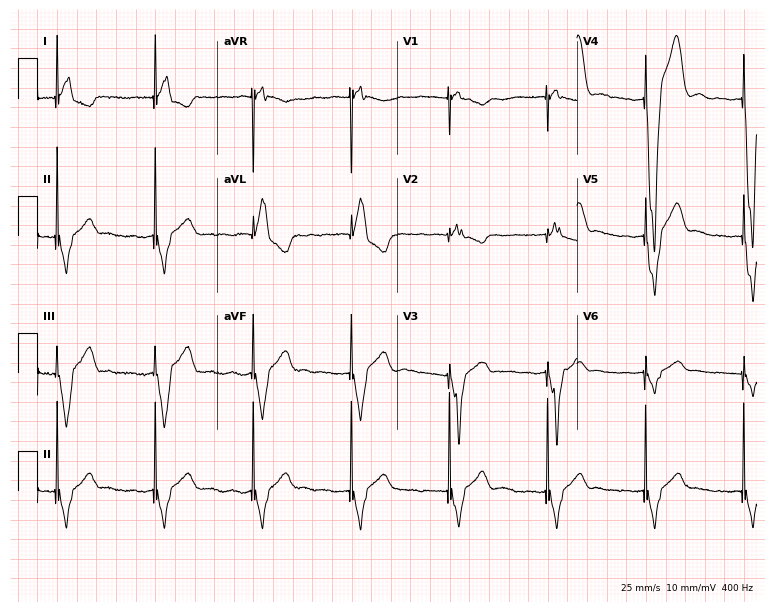
Electrocardiogram, a woman, 72 years old. Of the six screened findings (first-degree AV block, right bundle branch block, left bundle branch block, sinus bradycardia, atrial fibrillation, sinus tachycardia), none is recorded.